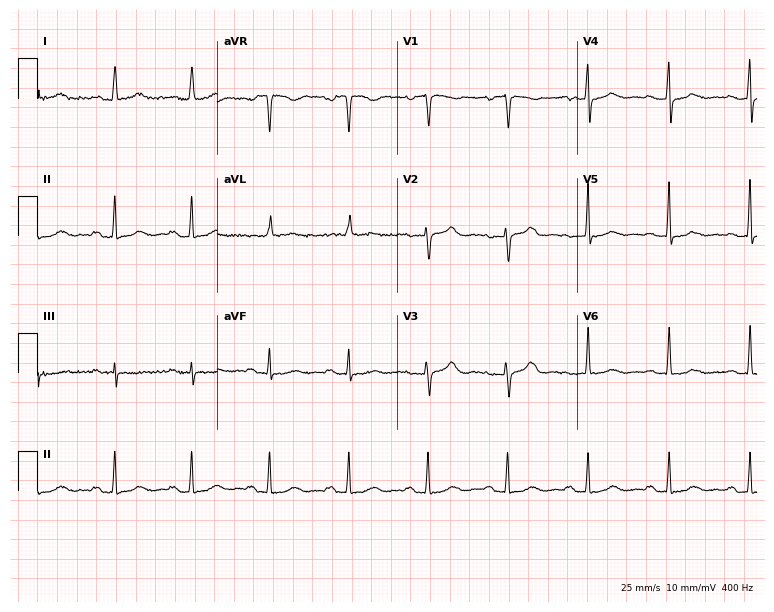
ECG — a 70-year-old woman. Screened for six findings — first-degree AV block, right bundle branch block, left bundle branch block, sinus bradycardia, atrial fibrillation, sinus tachycardia — none is recorded.